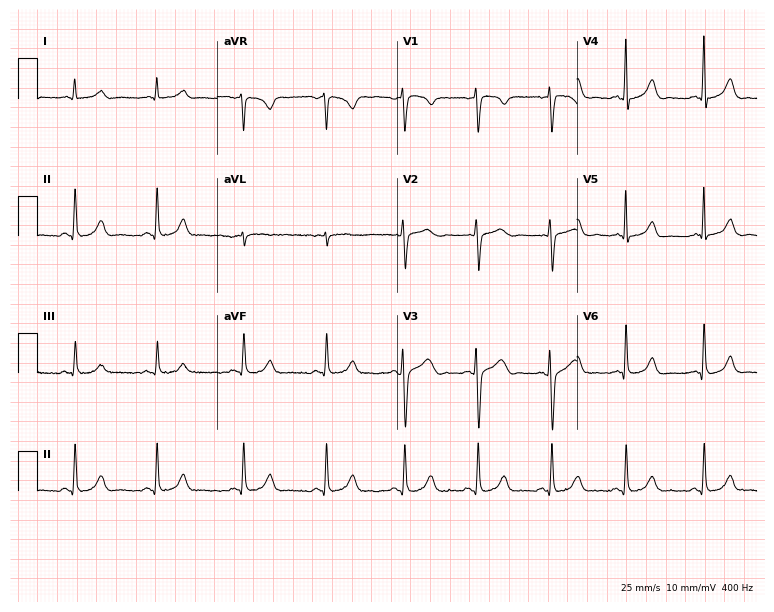
12-lead ECG from a 51-year-old male patient. Labelled as a normal ECG.